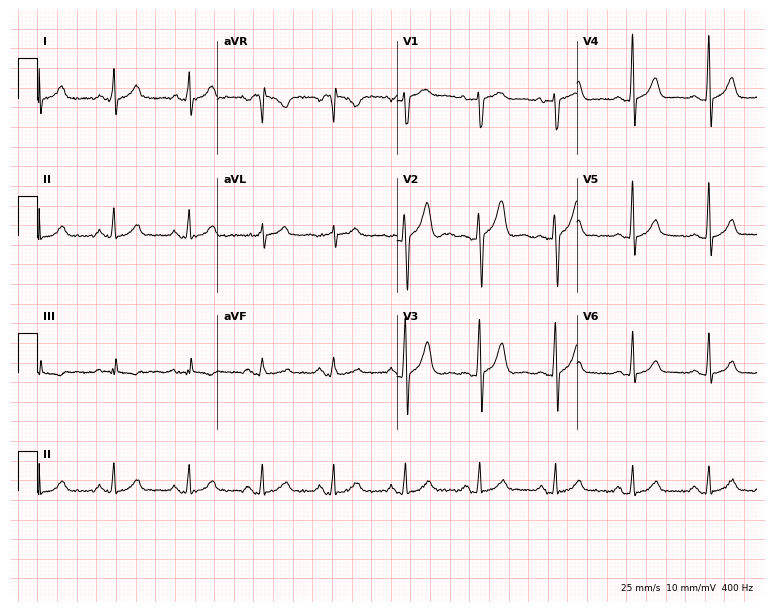
ECG (7.3-second recording at 400 Hz) — a man, 39 years old. Labelled as a normal ECG.